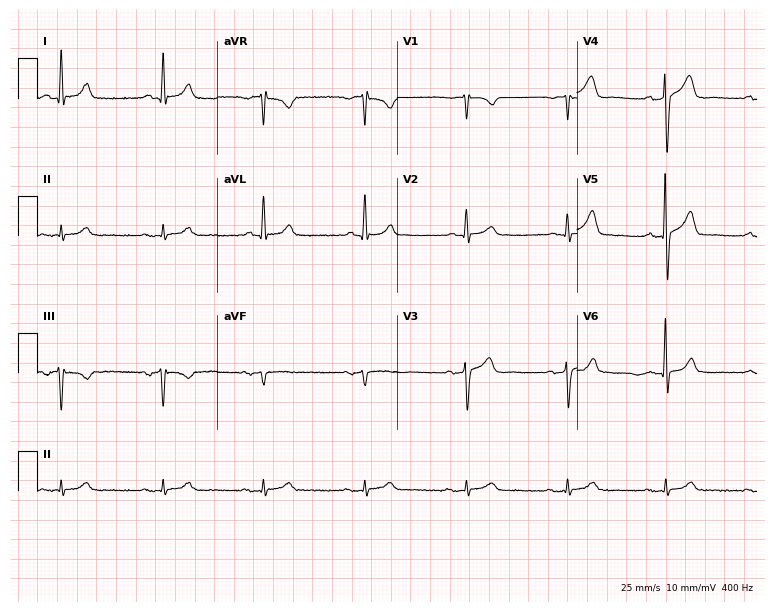
Standard 12-lead ECG recorded from a man, 77 years old. Read as a normal ECG.